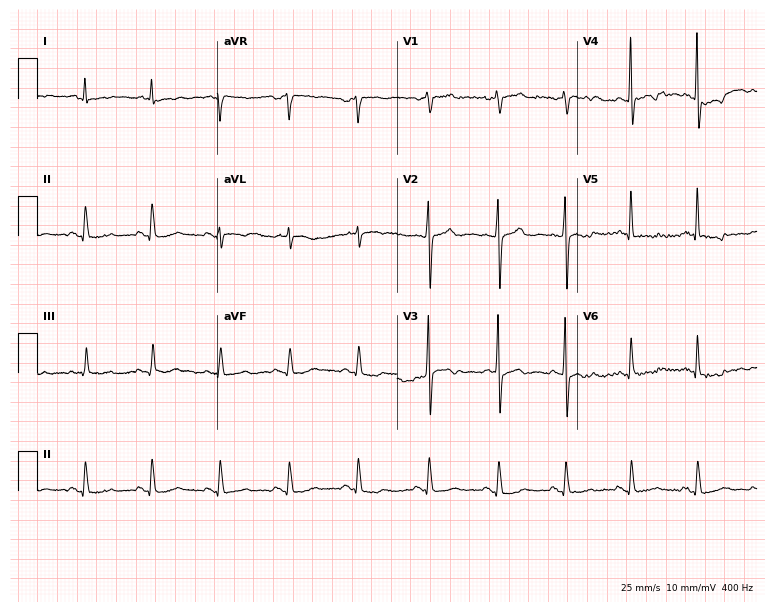
12-lead ECG from a male patient, 71 years old. Screened for six findings — first-degree AV block, right bundle branch block, left bundle branch block, sinus bradycardia, atrial fibrillation, sinus tachycardia — none is recorded.